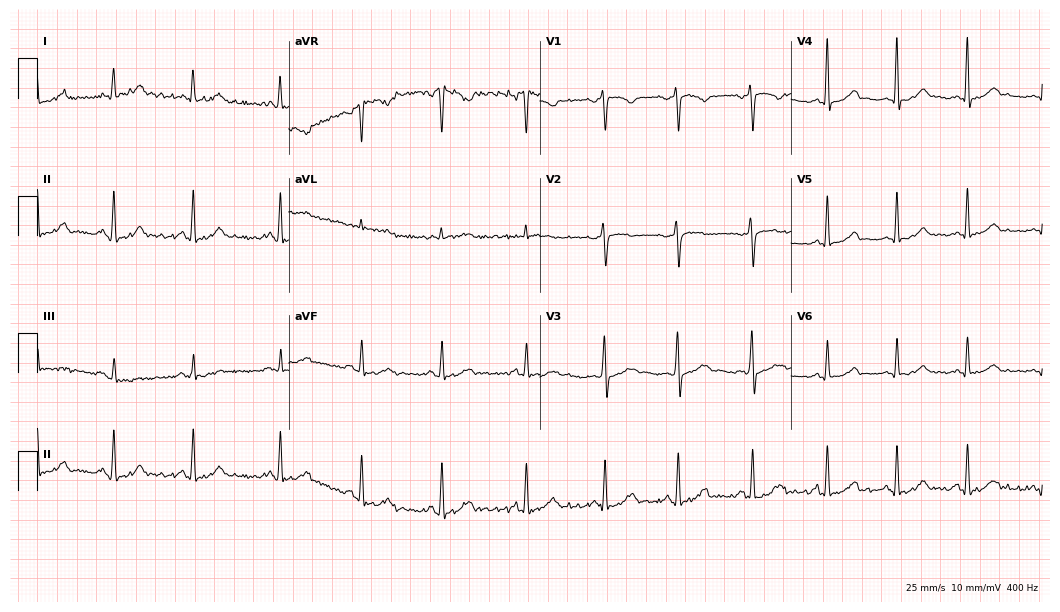
ECG (10.2-second recording at 400 Hz) — a female, 35 years old. Labelled as a normal ECG.